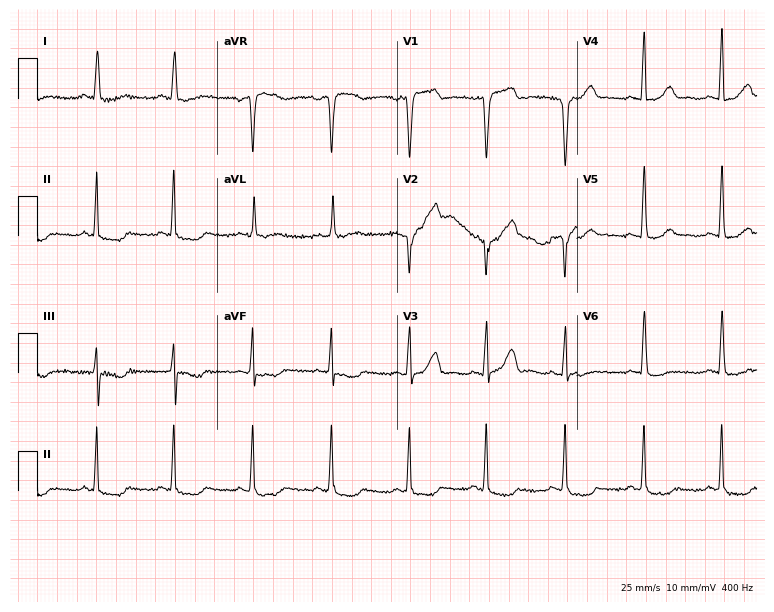
Electrocardiogram, a 56-year-old woman. Of the six screened findings (first-degree AV block, right bundle branch block, left bundle branch block, sinus bradycardia, atrial fibrillation, sinus tachycardia), none is recorded. Findings outside these six are not listed.